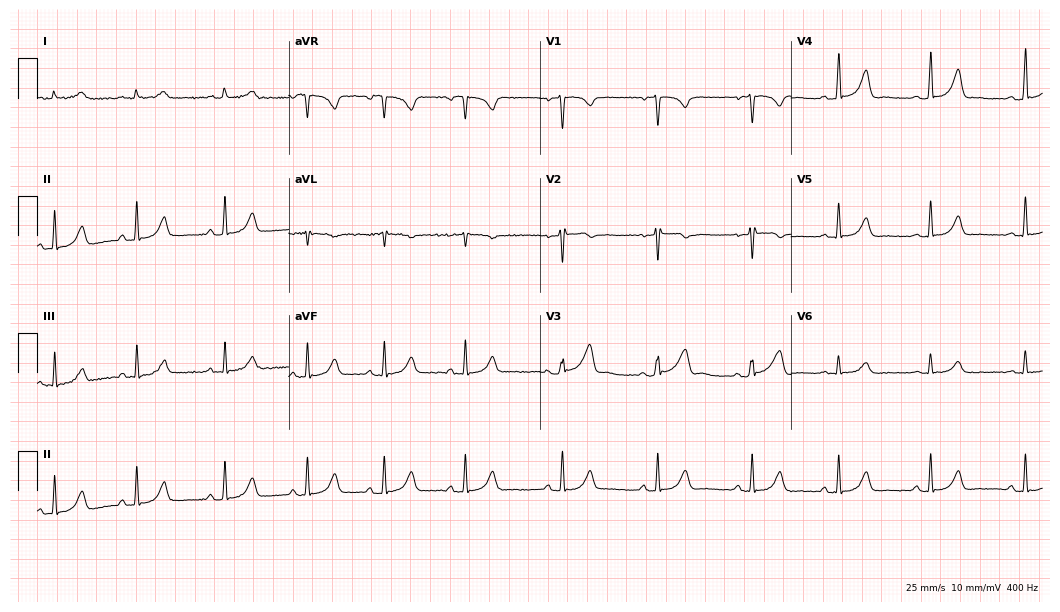
ECG (10.2-second recording at 400 Hz) — a 28-year-old woman. Labelled as a normal ECG.